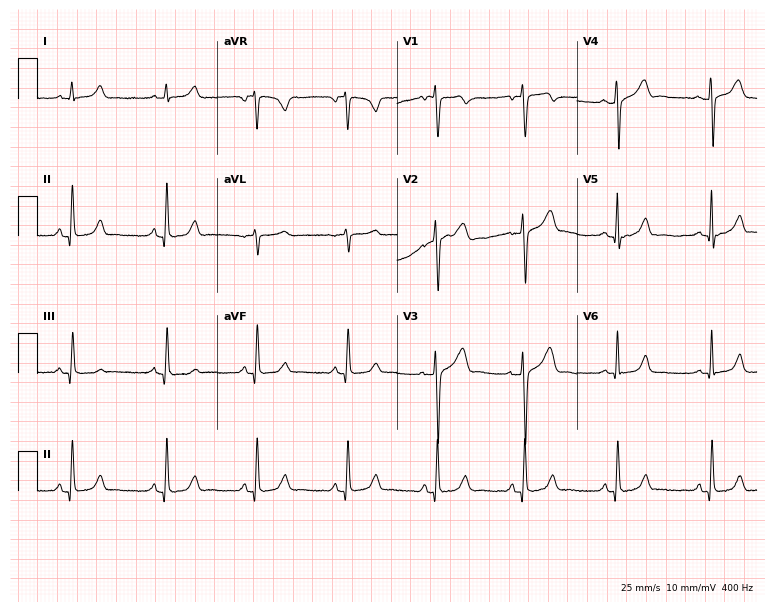
ECG — a 45-year-old female patient. Screened for six findings — first-degree AV block, right bundle branch block, left bundle branch block, sinus bradycardia, atrial fibrillation, sinus tachycardia — none is recorded. Other findings, if any, are not listed.